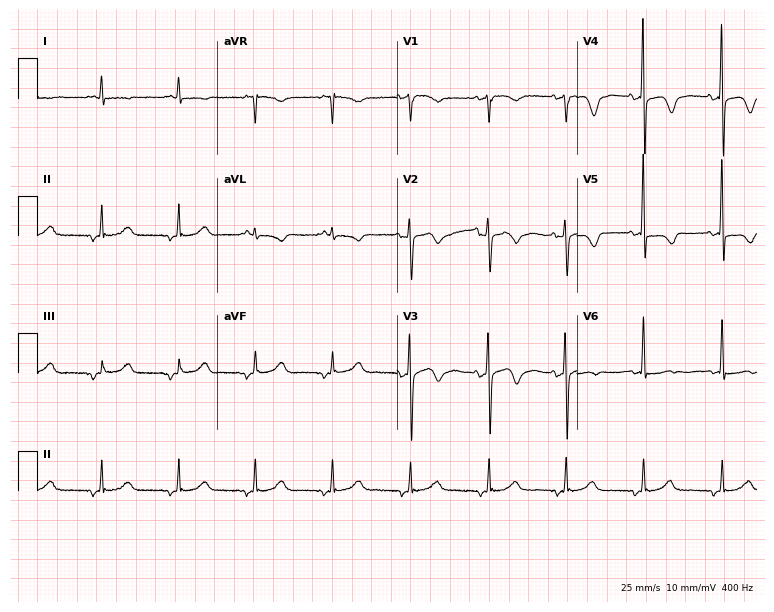
12-lead ECG from a 79-year-old female (7.3-second recording at 400 Hz). No first-degree AV block, right bundle branch block, left bundle branch block, sinus bradycardia, atrial fibrillation or sinus tachycardia recorded for this tracing.